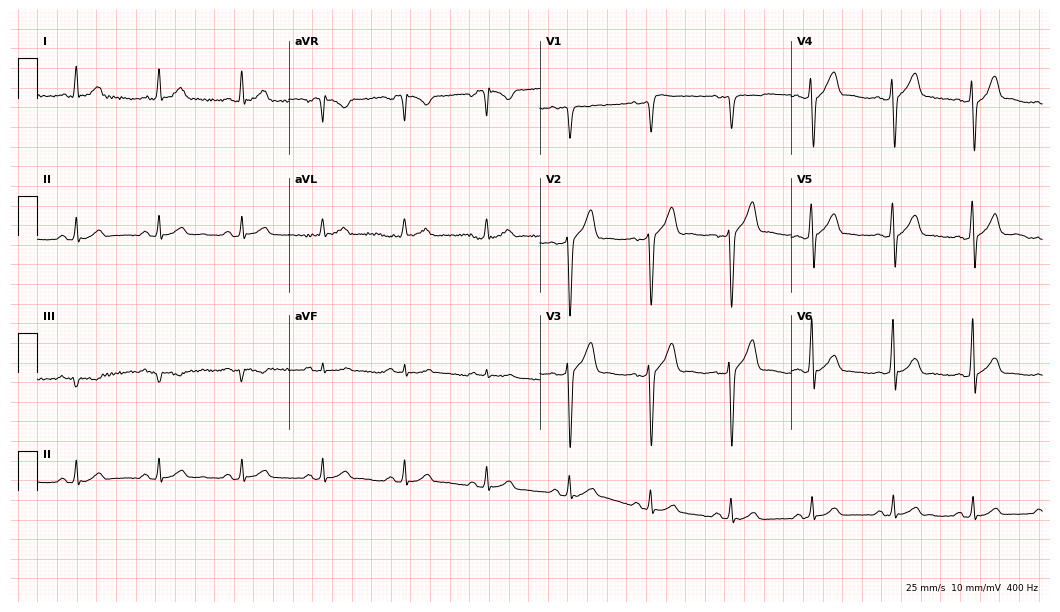
12-lead ECG (10.2-second recording at 400 Hz) from a 46-year-old man. Labelled as a normal ECG.